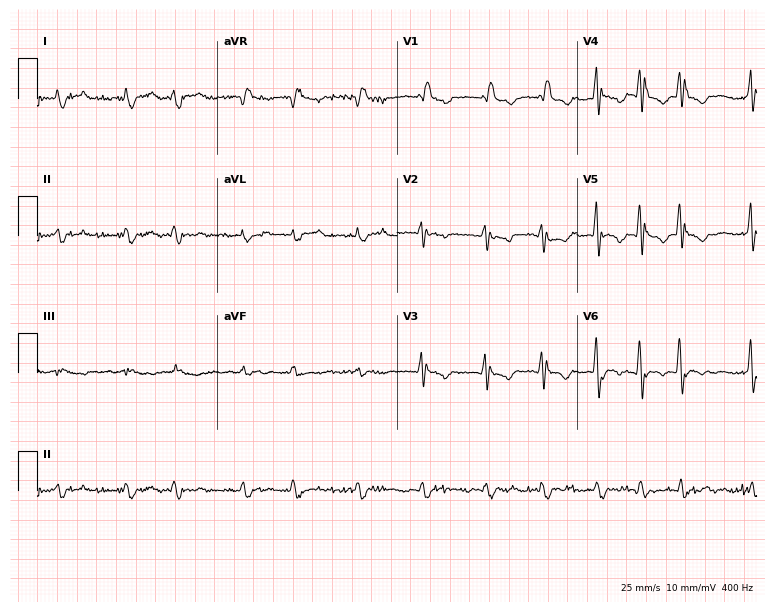
12-lead ECG from a woman, 73 years old (7.3-second recording at 400 Hz). Shows right bundle branch block (RBBB), atrial fibrillation (AF).